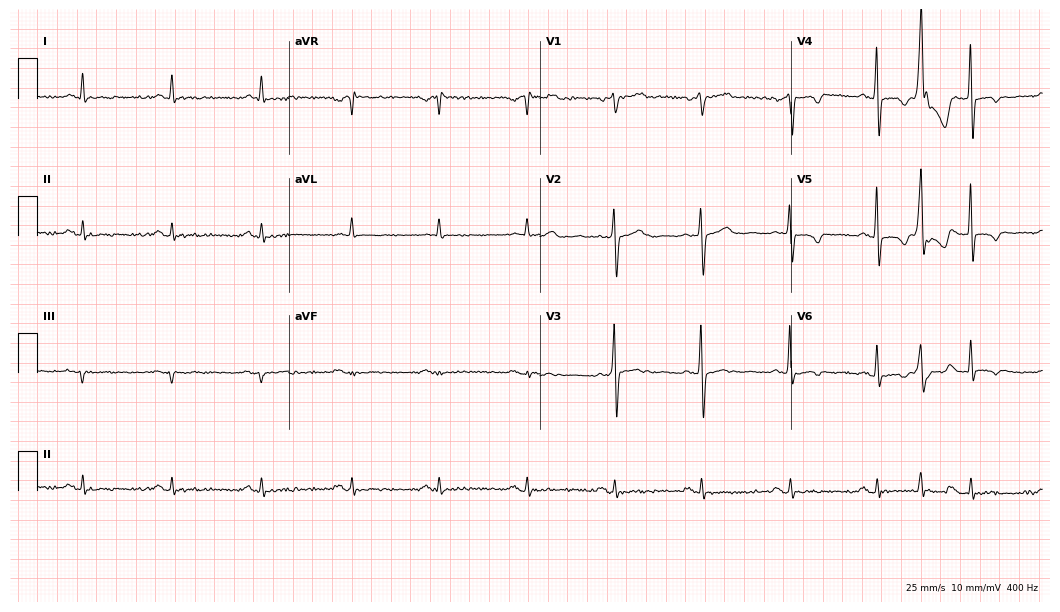
Electrocardiogram, a male patient, 72 years old. Of the six screened findings (first-degree AV block, right bundle branch block (RBBB), left bundle branch block (LBBB), sinus bradycardia, atrial fibrillation (AF), sinus tachycardia), none is recorded. Other findings, if any, are not listed.